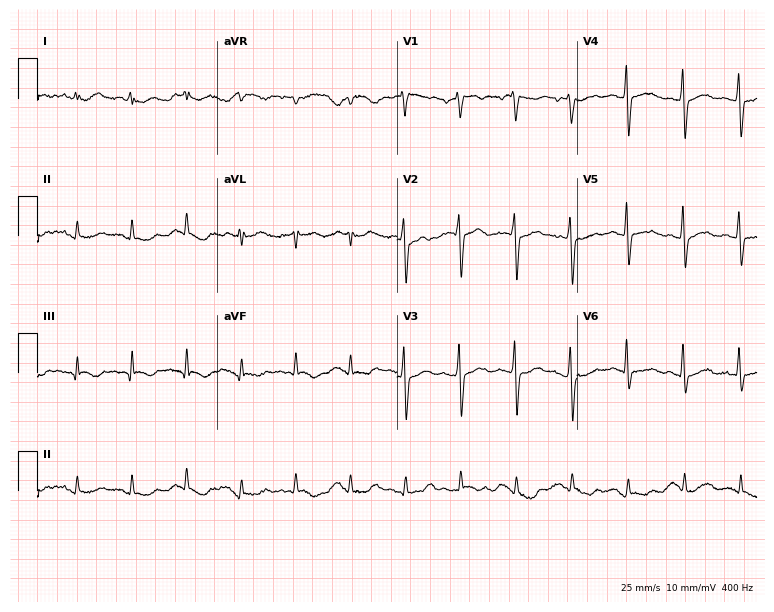
Standard 12-lead ECG recorded from a 55-year-old man. The tracing shows sinus tachycardia (a sinus rate of 100 beats per minute or more).